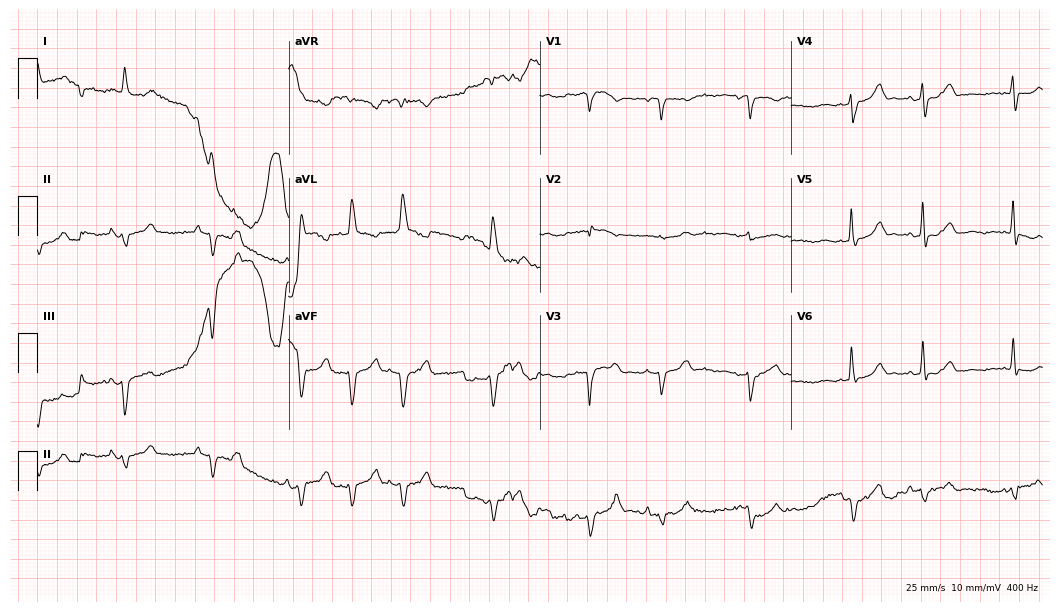
Electrocardiogram, a male patient, 72 years old. Of the six screened findings (first-degree AV block, right bundle branch block, left bundle branch block, sinus bradycardia, atrial fibrillation, sinus tachycardia), none is recorded. Only these six findings were labelled.